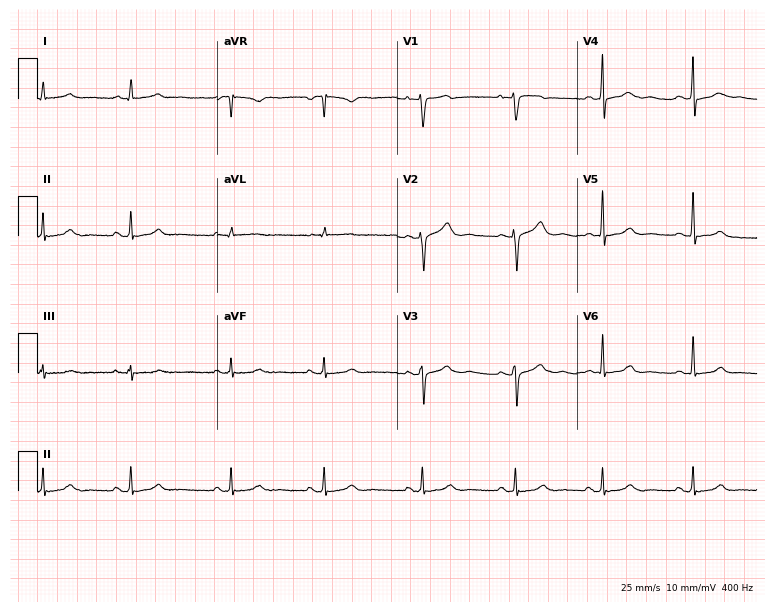
12-lead ECG from a 31-year-old female. Screened for six findings — first-degree AV block, right bundle branch block, left bundle branch block, sinus bradycardia, atrial fibrillation, sinus tachycardia — none is recorded. Only these six findings were labelled.